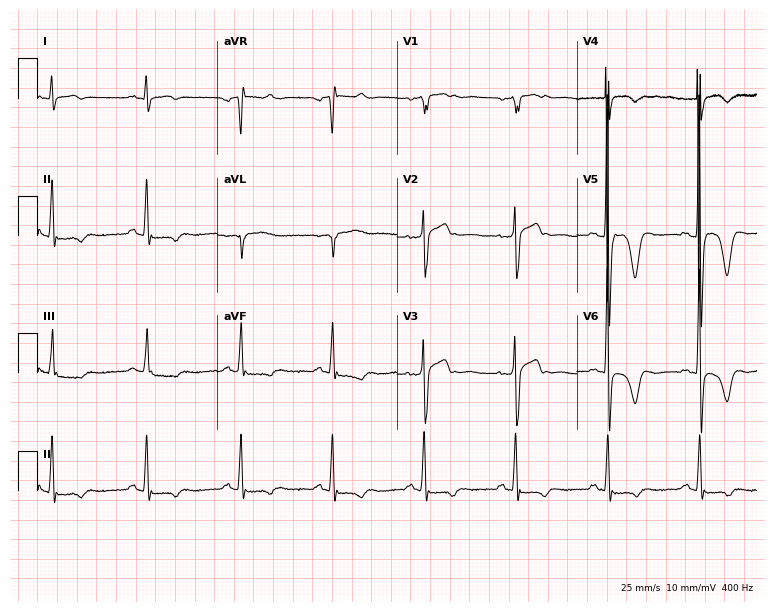
Standard 12-lead ECG recorded from a male patient, 35 years old. None of these six findings is recorded: first-degree AV block, right bundle branch block, left bundle branch block, sinus bradycardia, atrial fibrillation, sinus tachycardia. Findings outside these six are not listed.